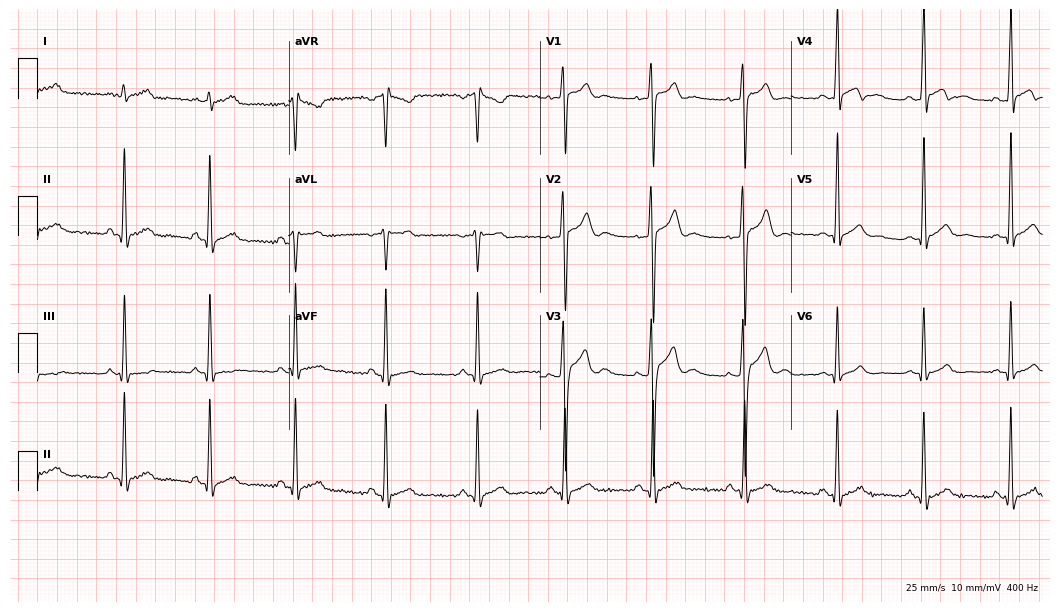
ECG — a 20-year-old male. Labelled as a normal ECG.